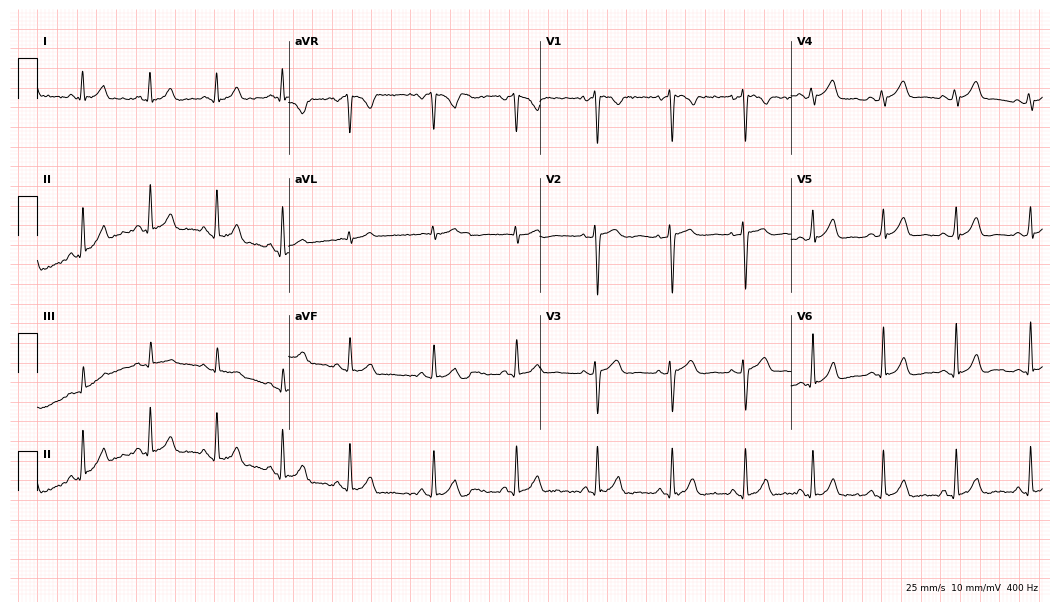
Standard 12-lead ECG recorded from a female, 19 years old. Read as a normal ECG.